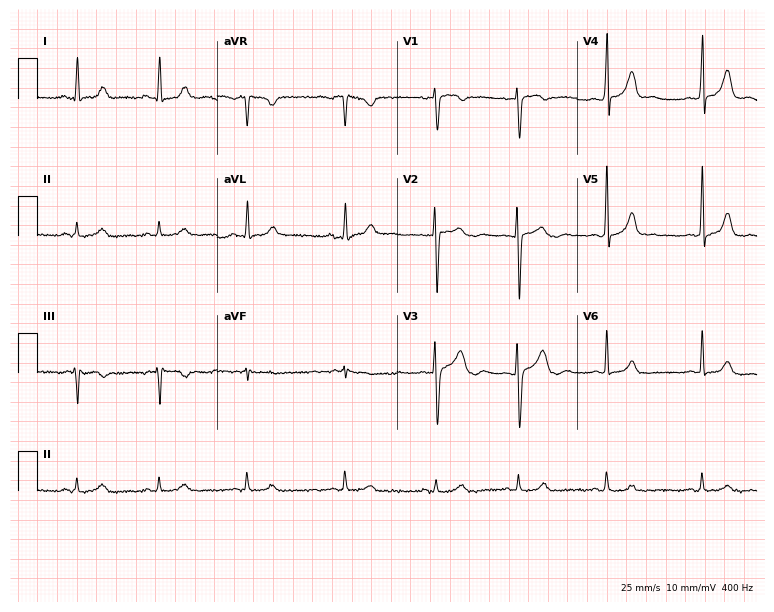
Standard 12-lead ECG recorded from a 27-year-old female. Read as a normal ECG.